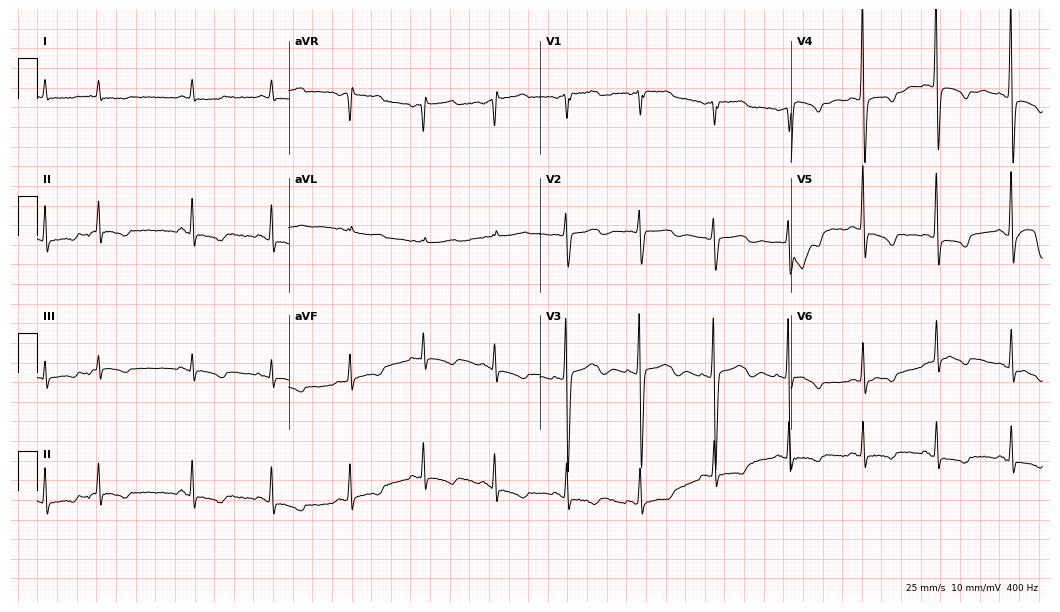
12-lead ECG from a male patient, 63 years old. No first-degree AV block, right bundle branch block (RBBB), left bundle branch block (LBBB), sinus bradycardia, atrial fibrillation (AF) or sinus tachycardia recorded for this tracing. Only these six findings were labelled.